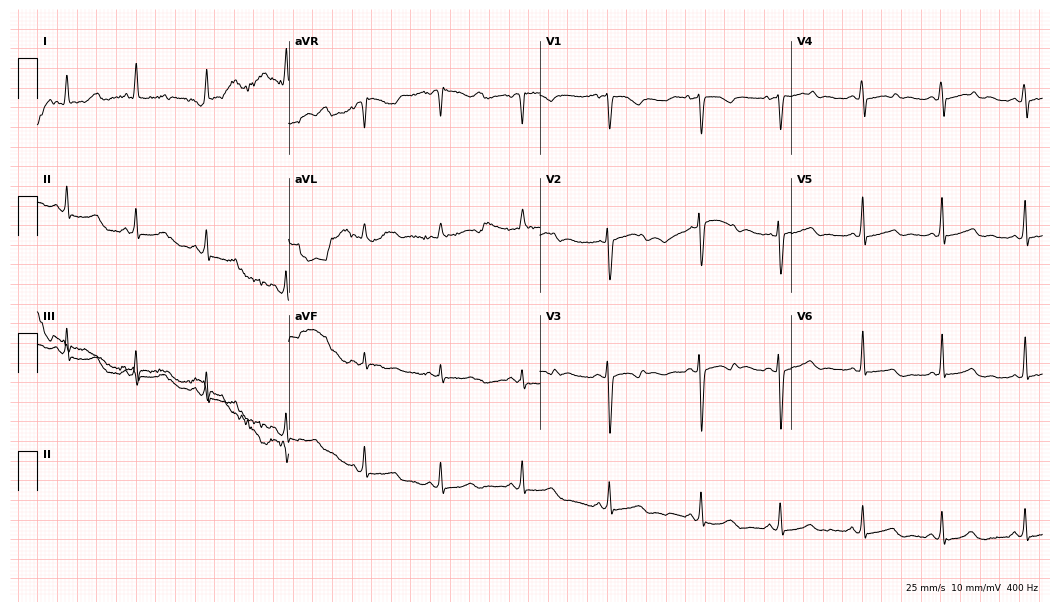
12-lead ECG from a 21-year-old woman. No first-degree AV block, right bundle branch block (RBBB), left bundle branch block (LBBB), sinus bradycardia, atrial fibrillation (AF) or sinus tachycardia recorded for this tracing.